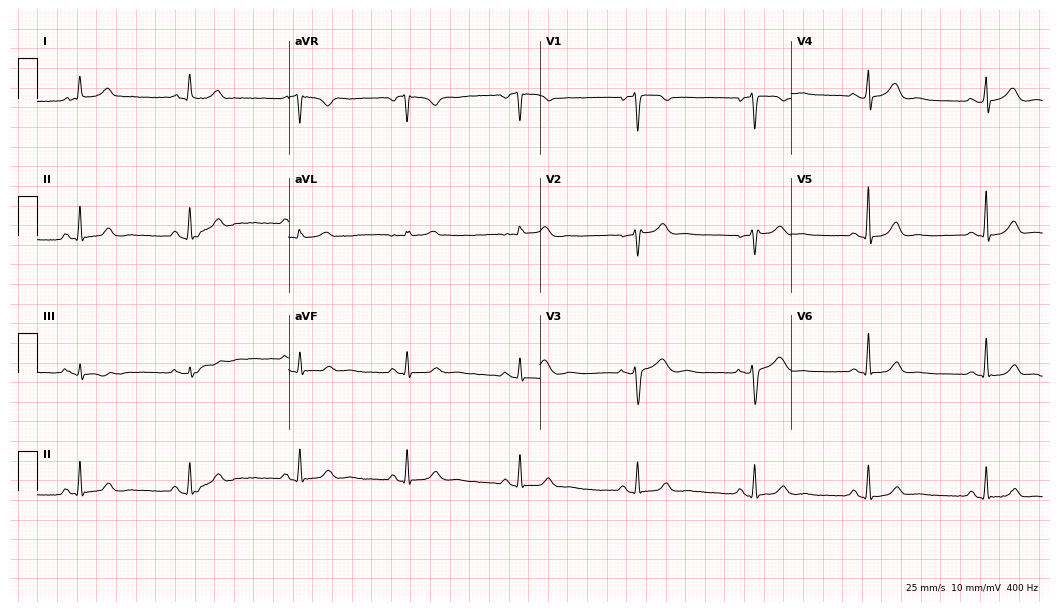
ECG (10.2-second recording at 400 Hz) — a 43-year-old female. Labelled as a normal ECG.